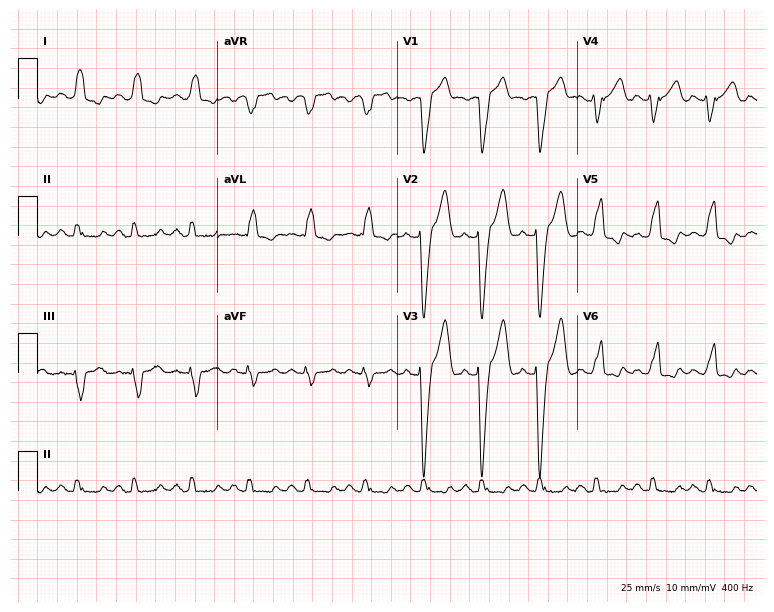
ECG — a 56-year-old male patient. Findings include left bundle branch block, sinus tachycardia (a sinus rate of 100 beats per minute or more).